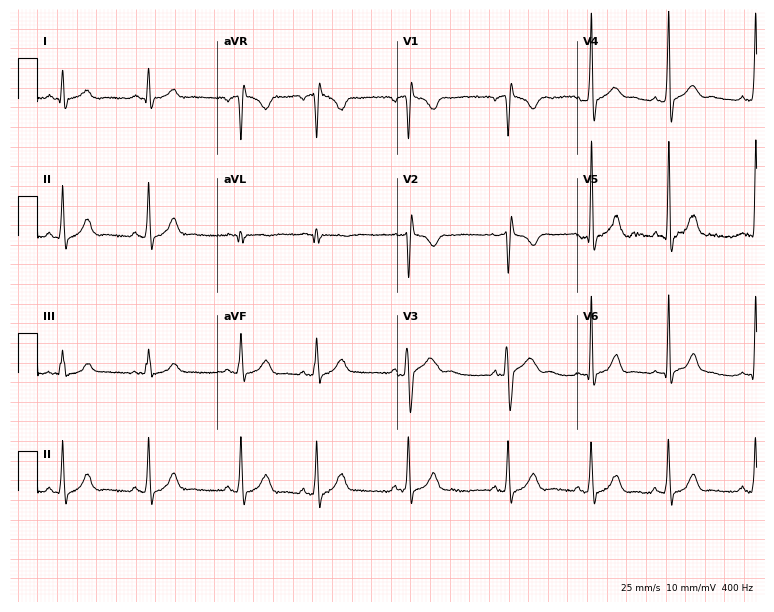
Standard 12-lead ECG recorded from a 17-year-old male patient. None of these six findings is recorded: first-degree AV block, right bundle branch block (RBBB), left bundle branch block (LBBB), sinus bradycardia, atrial fibrillation (AF), sinus tachycardia. Other findings, if any, are not listed.